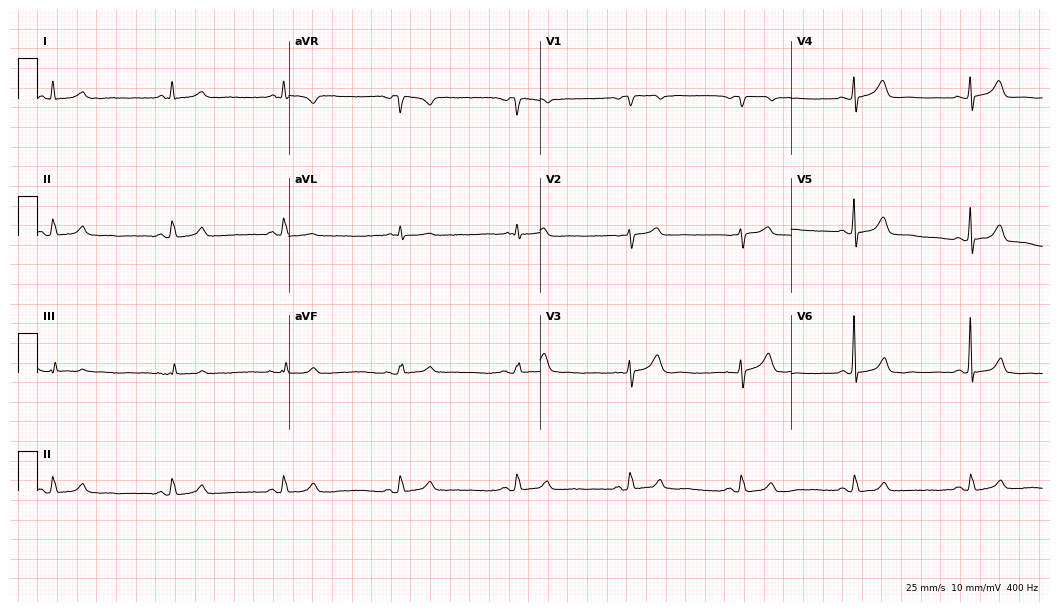
Standard 12-lead ECG recorded from a female, 69 years old (10.2-second recording at 400 Hz). Read as a normal ECG.